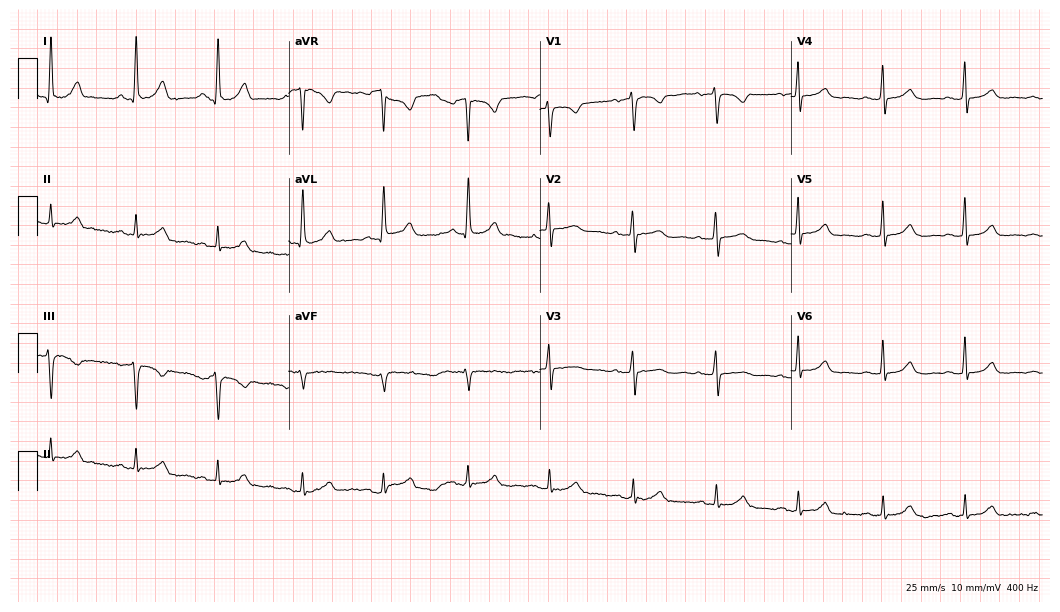
Electrocardiogram, a 72-year-old female patient. Overall reading on record: normal ECG.